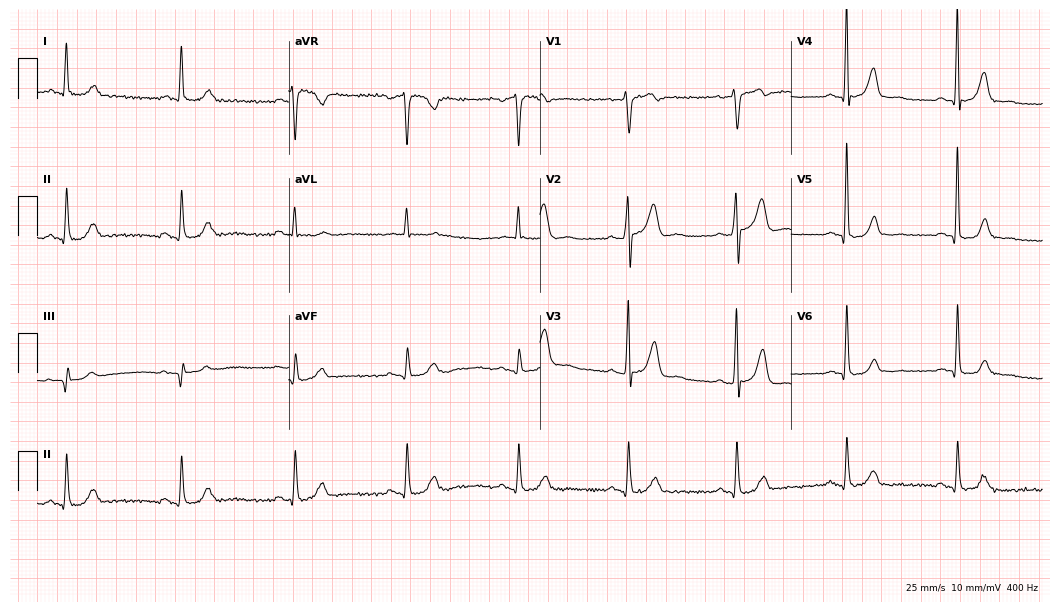
12-lead ECG (10.2-second recording at 400 Hz) from a man, 68 years old. Labelled as a normal ECG.